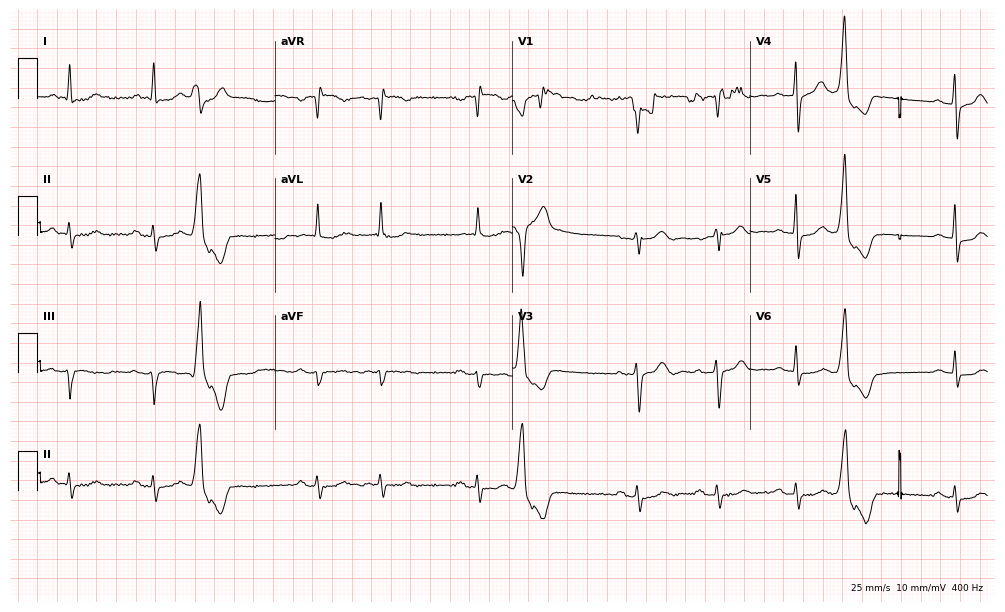
Standard 12-lead ECG recorded from an 83-year-old man. None of these six findings is recorded: first-degree AV block, right bundle branch block (RBBB), left bundle branch block (LBBB), sinus bradycardia, atrial fibrillation (AF), sinus tachycardia.